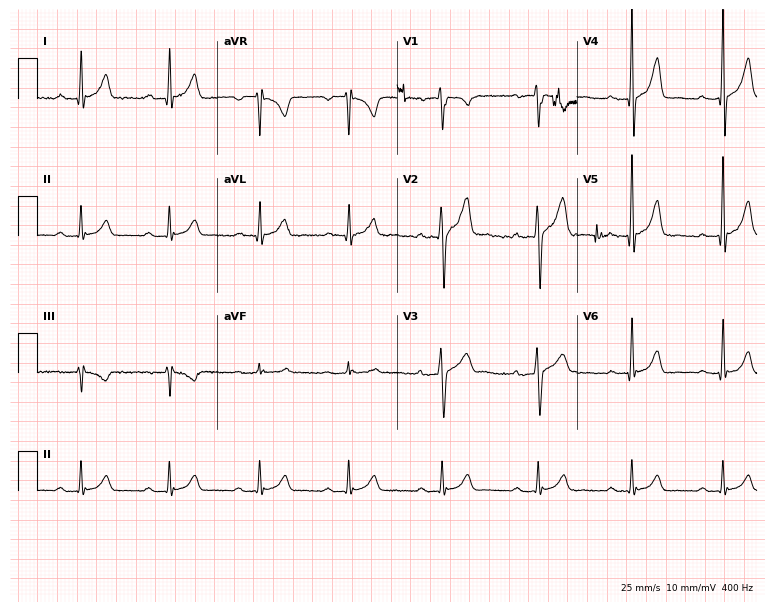
Standard 12-lead ECG recorded from a 45-year-old man. The tracing shows first-degree AV block.